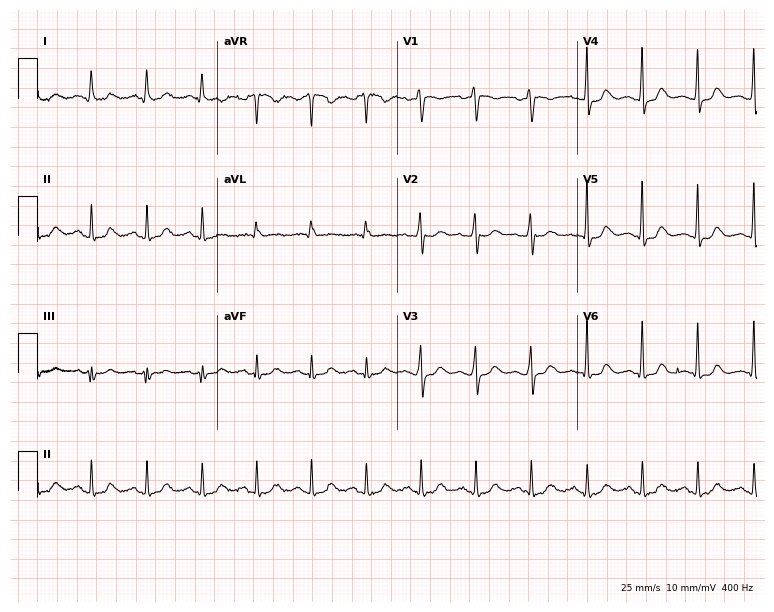
12-lead ECG (7.3-second recording at 400 Hz) from a 50-year-old female patient. Screened for six findings — first-degree AV block, right bundle branch block (RBBB), left bundle branch block (LBBB), sinus bradycardia, atrial fibrillation (AF), sinus tachycardia — none is recorded. Only these six findings were labelled.